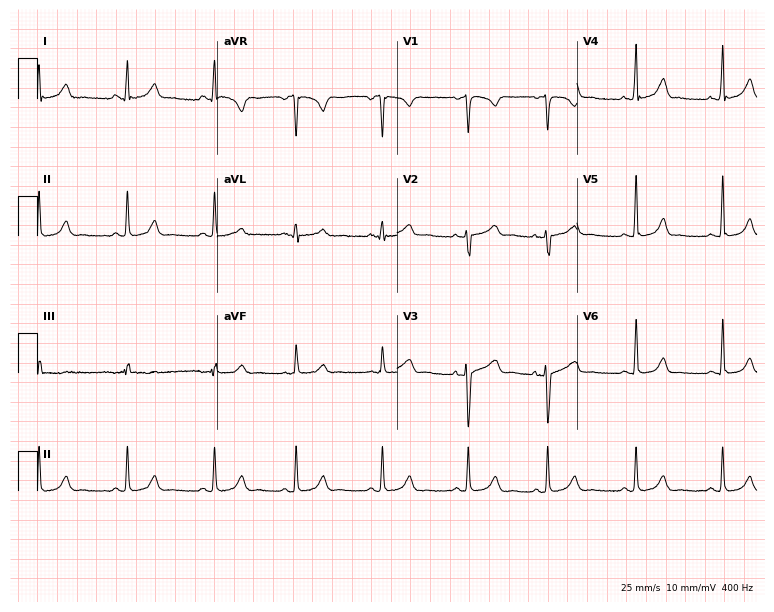
Standard 12-lead ECG recorded from a woman, 29 years old. Read as a normal ECG.